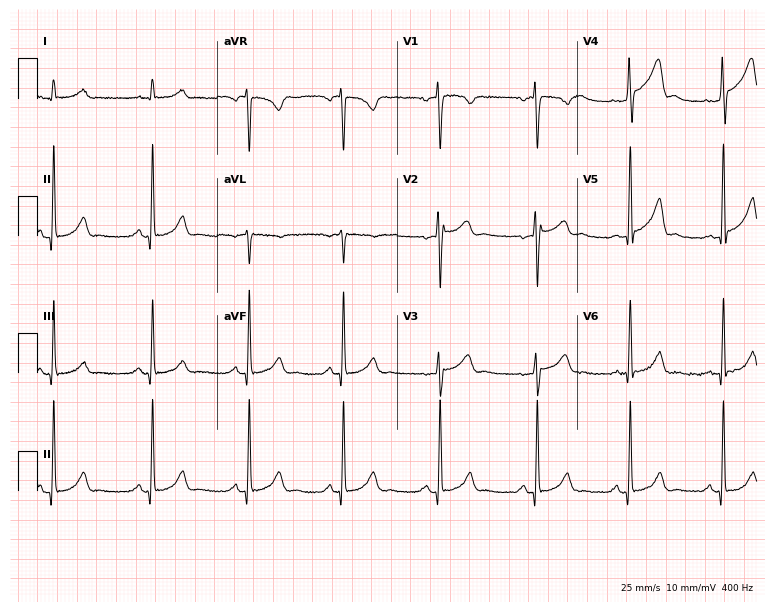
ECG (7.3-second recording at 400 Hz) — a 54-year-old male patient. Screened for six findings — first-degree AV block, right bundle branch block (RBBB), left bundle branch block (LBBB), sinus bradycardia, atrial fibrillation (AF), sinus tachycardia — none is recorded. Only these six findings were labelled.